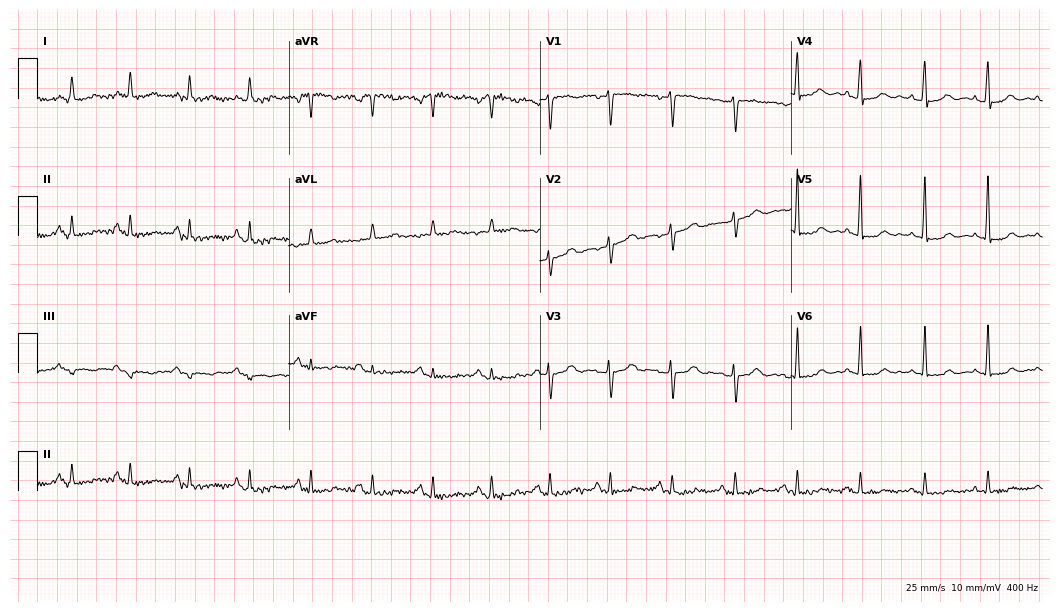
Resting 12-lead electrocardiogram. Patient: a woman, 44 years old. Read as a normal ECG.